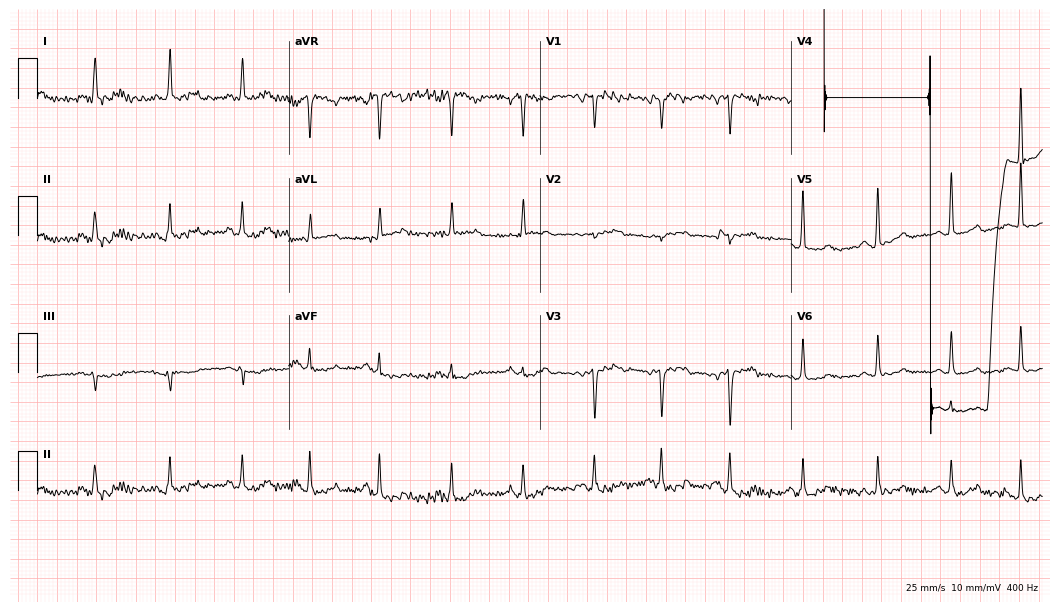
Electrocardiogram (10.2-second recording at 400 Hz), a female patient, 40 years old. Of the six screened findings (first-degree AV block, right bundle branch block, left bundle branch block, sinus bradycardia, atrial fibrillation, sinus tachycardia), none is recorded.